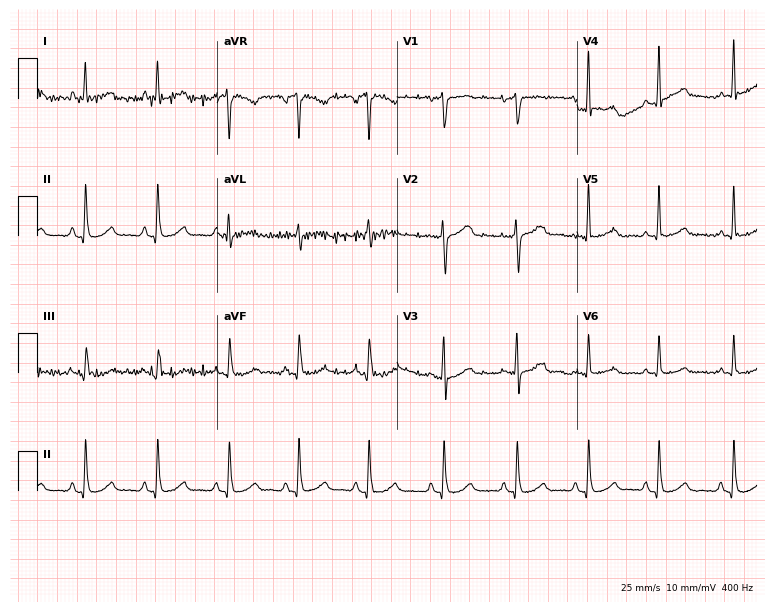
ECG (7.3-second recording at 400 Hz) — a woman, 66 years old. Labelled as a normal ECG.